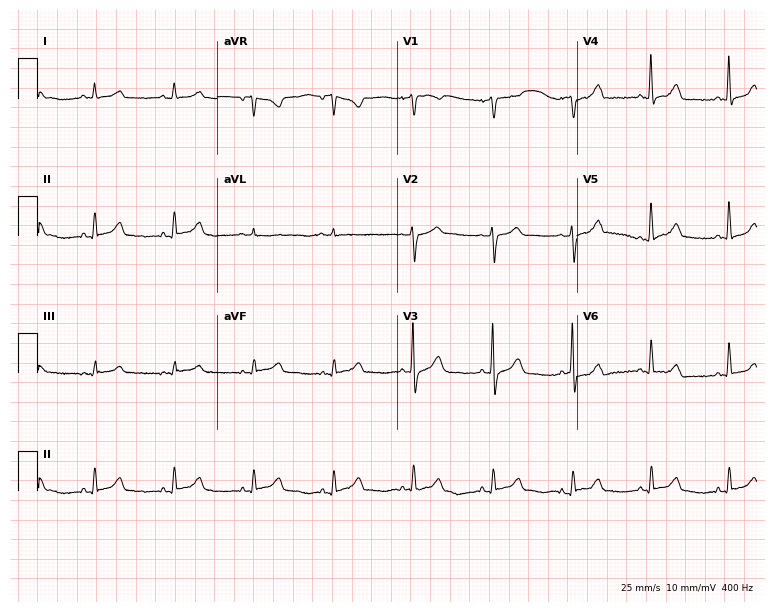
12-lead ECG from a 69-year-old male patient. No first-degree AV block, right bundle branch block, left bundle branch block, sinus bradycardia, atrial fibrillation or sinus tachycardia recorded for this tracing. Findings outside these six are not listed.